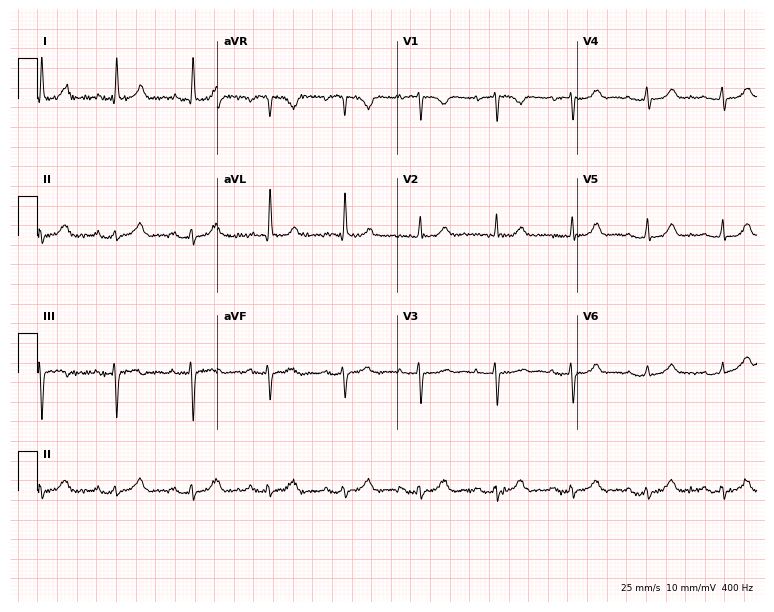
Electrocardiogram, a woman, 79 years old. Overall reading on record: normal ECG.